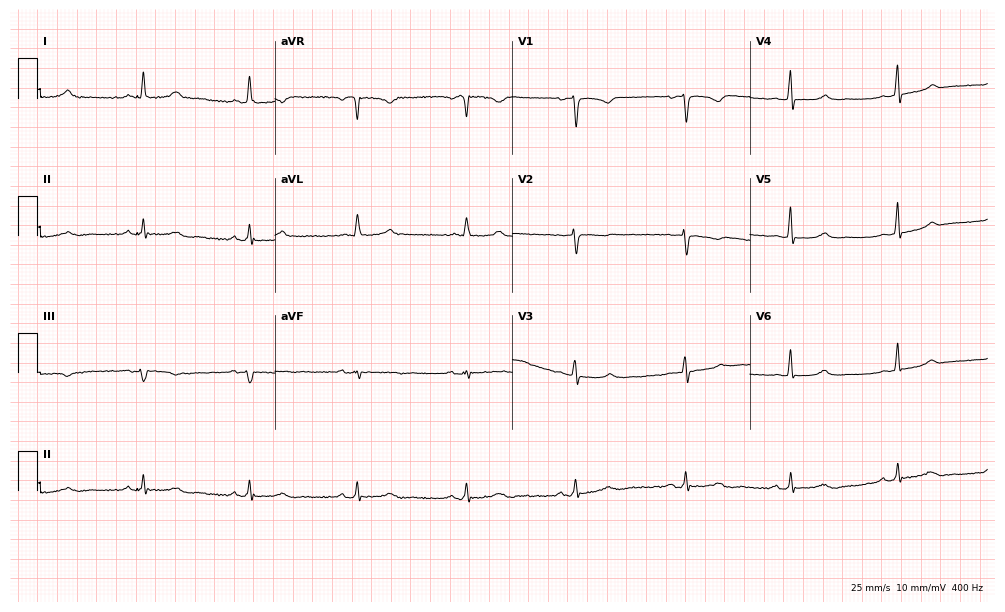
Resting 12-lead electrocardiogram (9.7-second recording at 400 Hz). Patient: a woman, 62 years old. The tracing shows sinus bradycardia (a sinus rate of 50 beats per minute or less).